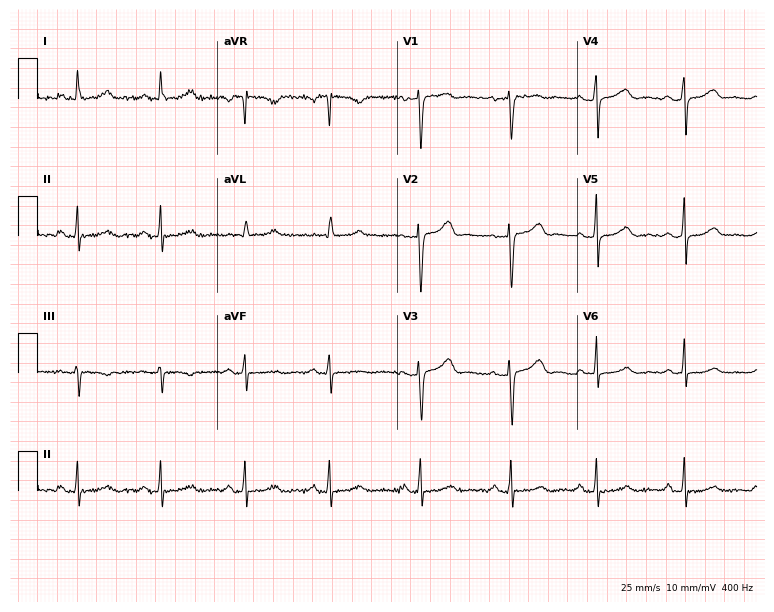
Electrocardiogram (7.3-second recording at 400 Hz), a 46-year-old female. Overall reading on record: normal ECG.